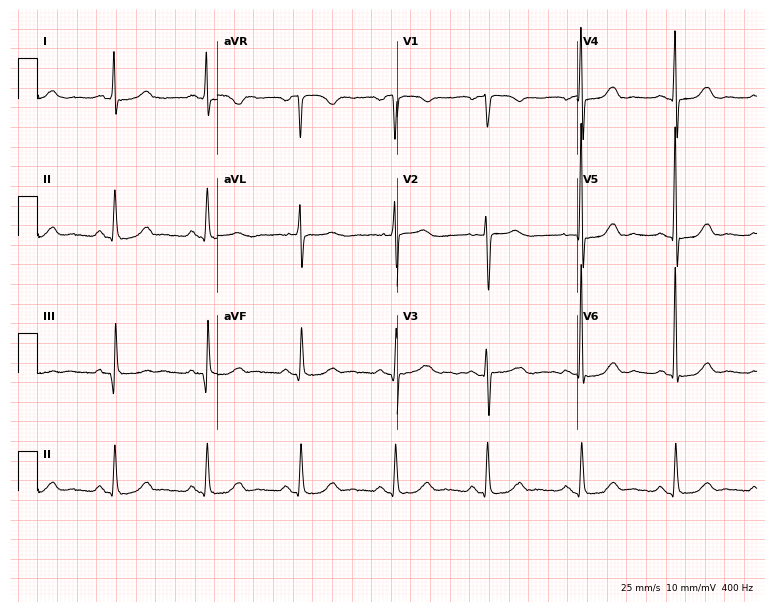
12-lead ECG (7.3-second recording at 400 Hz) from a 78-year-old woman. Labelled as a normal ECG.